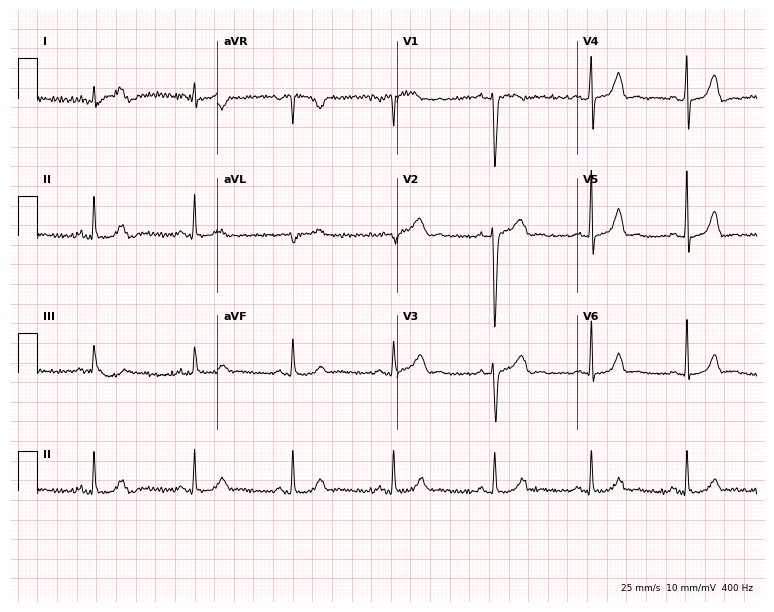
ECG (7.3-second recording at 400 Hz) — a 34-year-old man. Screened for six findings — first-degree AV block, right bundle branch block (RBBB), left bundle branch block (LBBB), sinus bradycardia, atrial fibrillation (AF), sinus tachycardia — none is recorded. Only these six findings were labelled.